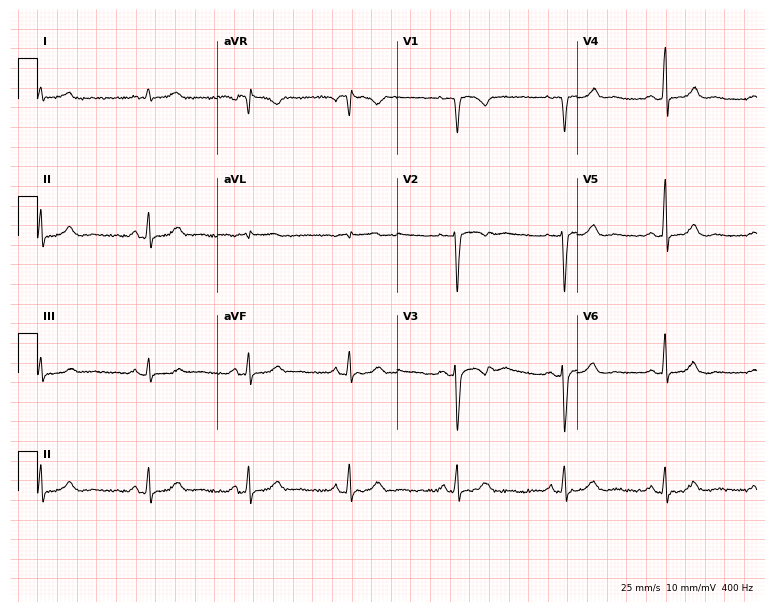
Electrocardiogram, a 41-year-old female. Overall reading on record: normal ECG.